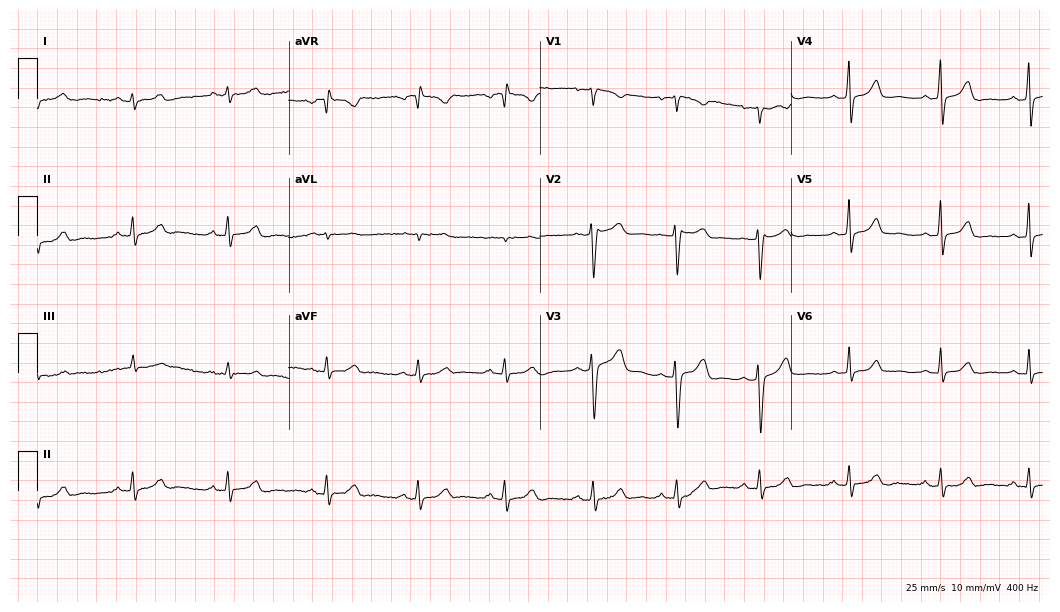
12-lead ECG from a female patient, 38 years old (10.2-second recording at 400 Hz). No first-degree AV block, right bundle branch block (RBBB), left bundle branch block (LBBB), sinus bradycardia, atrial fibrillation (AF) or sinus tachycardia recorded for this tracing. Other findings, if any, are not listed.